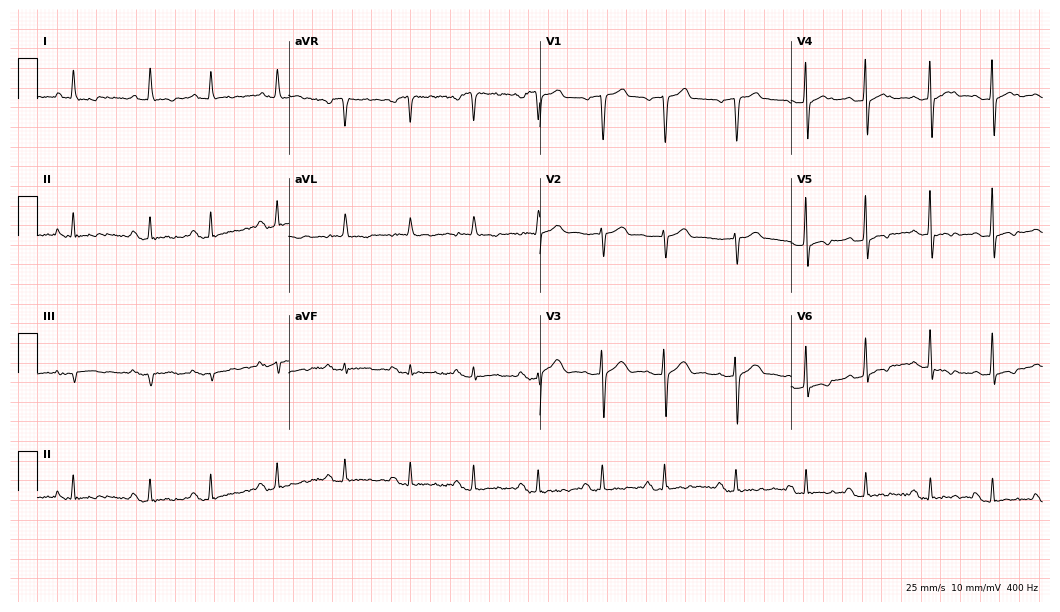
12-lead ECG from a female patient, 32 years old. Screened for six findings — first-degree AV block, right bundle branch block (RBBB), left bundle branch block (LBBB), sinus bradycardia, atrial fibrillation (AF), sinus tachycardia — none is recorded.